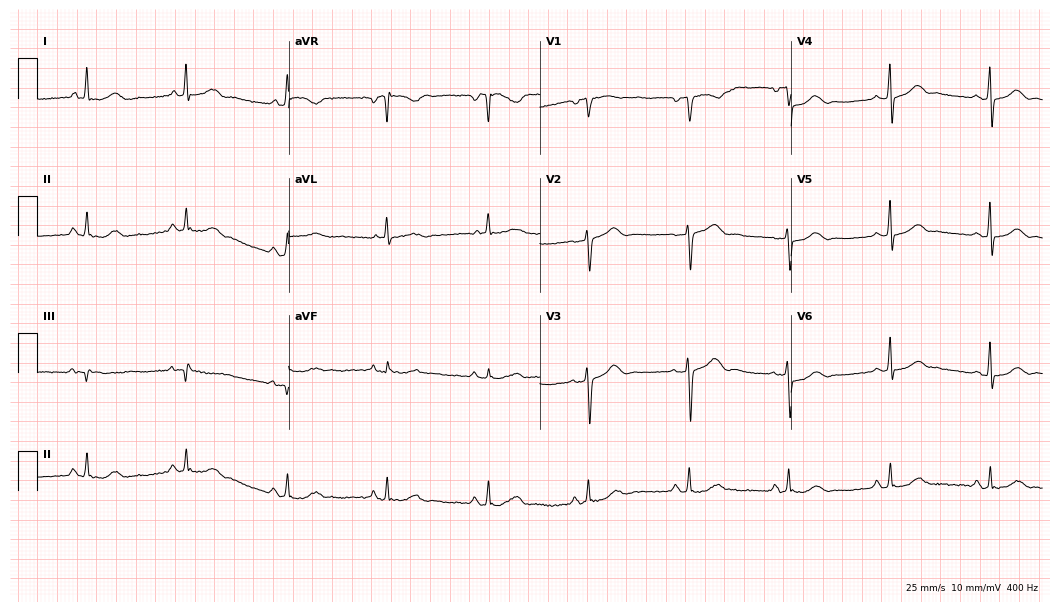
12-lead ECG (10.2-second recording at 400 Hz) from a 59-year-old female. Screened for six findings — first-degree AV block, right bundle branch block, left bundle branch block, sinus bradycardia, atrial fibrillation, sinus tachycardia — none is recorded.